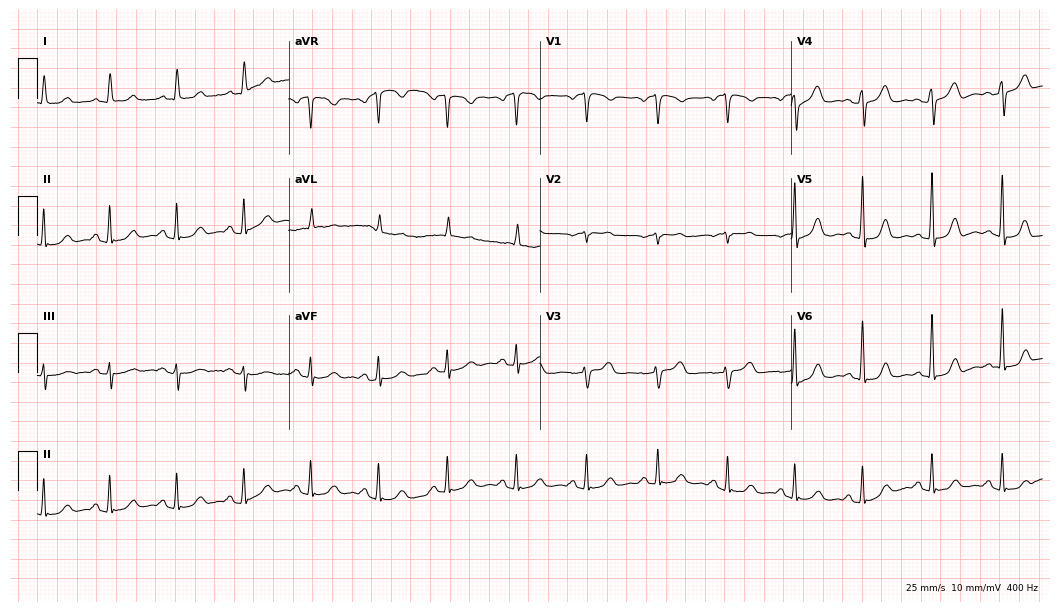
12-lead ECG from a female, 68 years old (10.2-second recording at 400 Hz). No first-degree AV block, right bundle branch block, left bundle branch block, sinus bradycardia, atrial fibrillation or sinus tachycardia recorded for this tracing. Other findings, if any, are not listed.